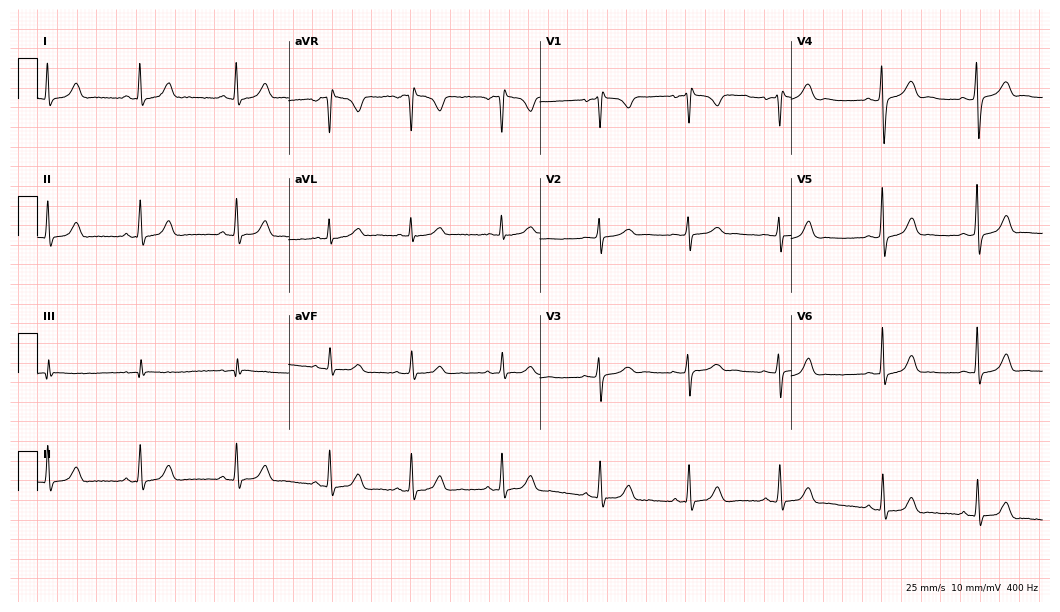
Standard 12-lead ECG recorded from a female, 19 years old. None of these six findings is recorded: first-degree AV block, right bundle branch block (RBBB), left bundle branch block (LBBB), sinus bradycardia, atrial fibrillation (AF), sinus tachycardia. Findings outside these six are not listed.